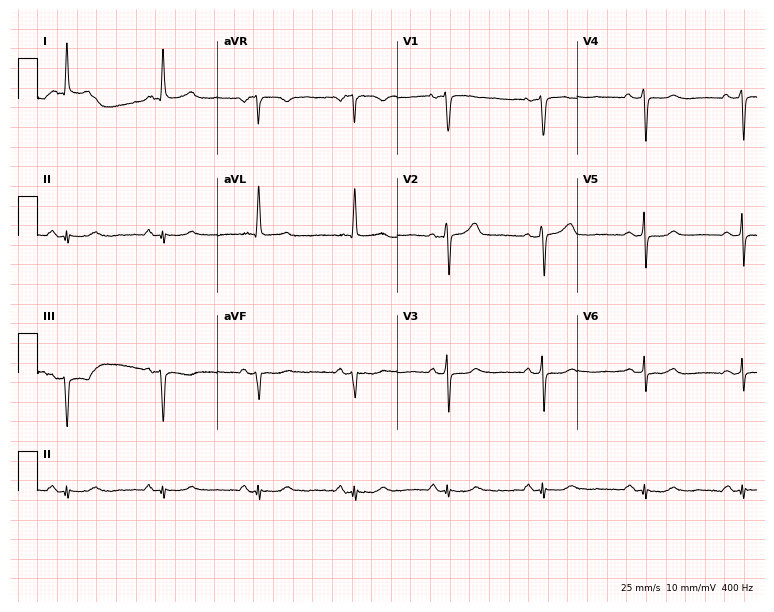
12-lead ECG from an 85-year-old female. No first-degree AV block, right bundle branch block (RBBB), left bundle branch block (LBBB), sinus bradycardia, atrial fibrillation (AF) or sinus tachycardia recorded for this tracing. Findings outside these six are not listed.